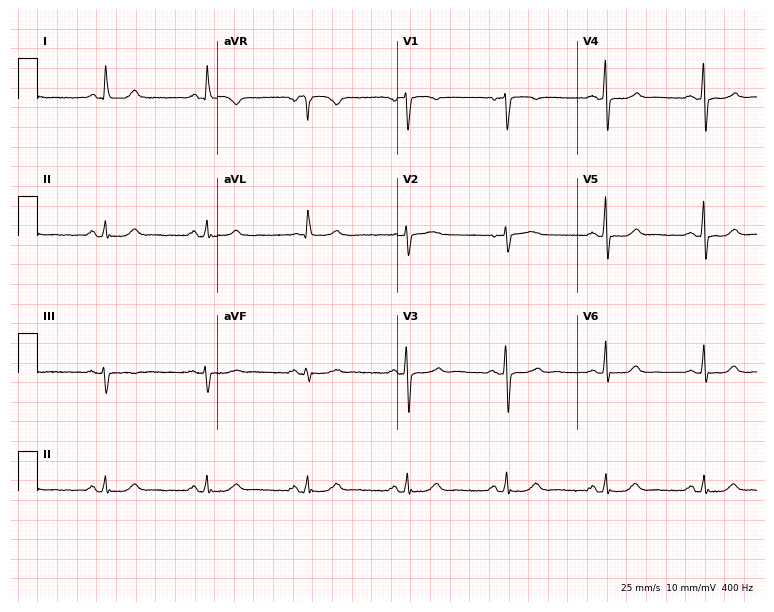
Resting 12-lead electrocardiogram. Patient: a female, 53 years old. Read as a normal ECG.